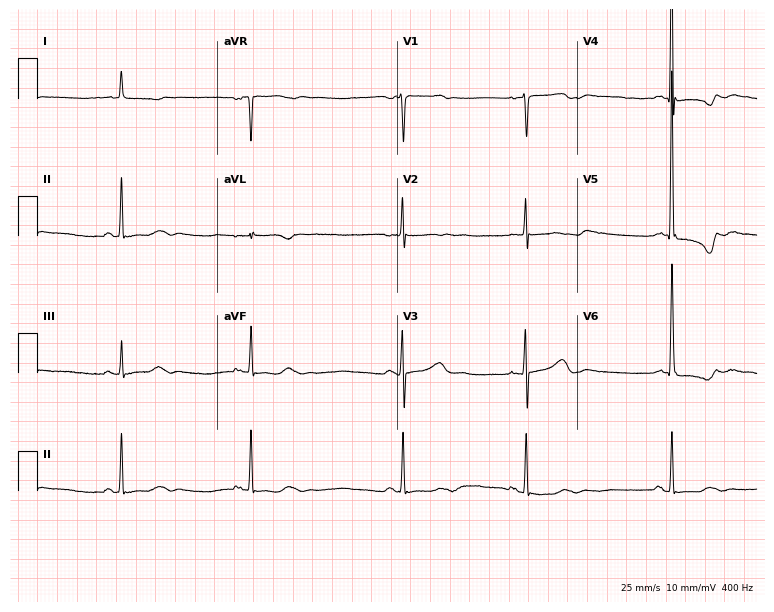
Resting 12-lead electrocardiogram (7.3-second recording at 400 Hz). Patient: an 85-year-old female. The tracing shows sinus bradycardia (a sinus rate of 50 beats per minute or less).